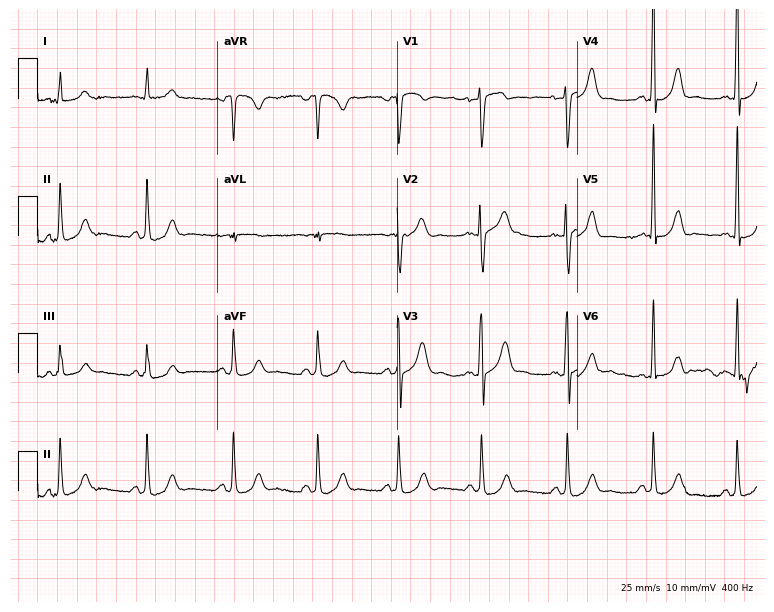
Electrocardiogram, a man, 37 years old. Overall reading on record: normal ECG.